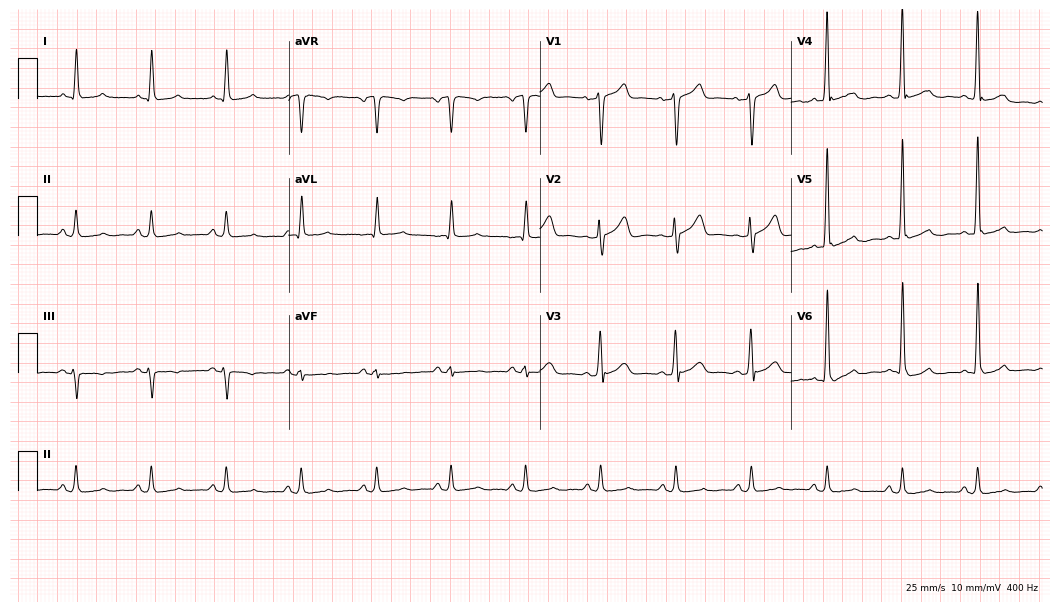
Electrocardiogram, a 63-year-old male patient. Overall reading on record: normal ECG.